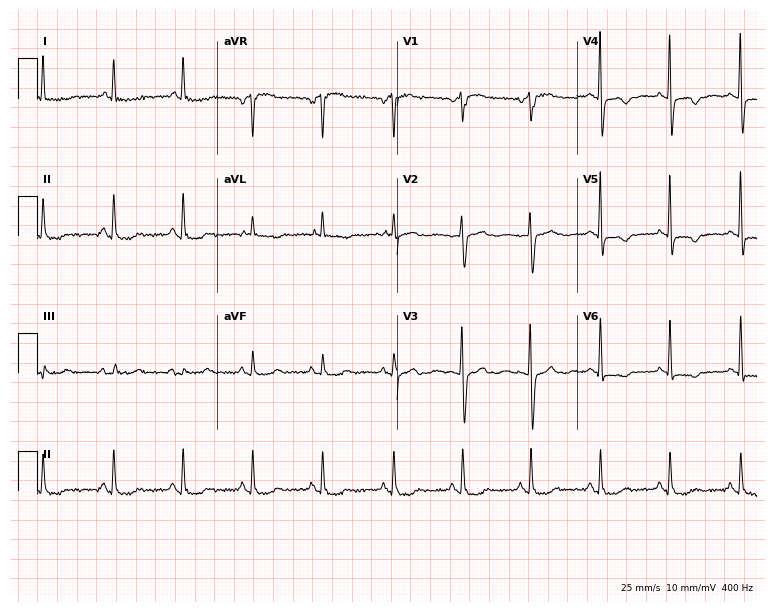
Standard 12-lead ECG recorded from a woman, 60 years old. None of these six findings is recorded: first-degree AV block, right bundle branch block, left bundle branch block, sinus bradycardia, atrial fibrillation, sinus tachycardia.